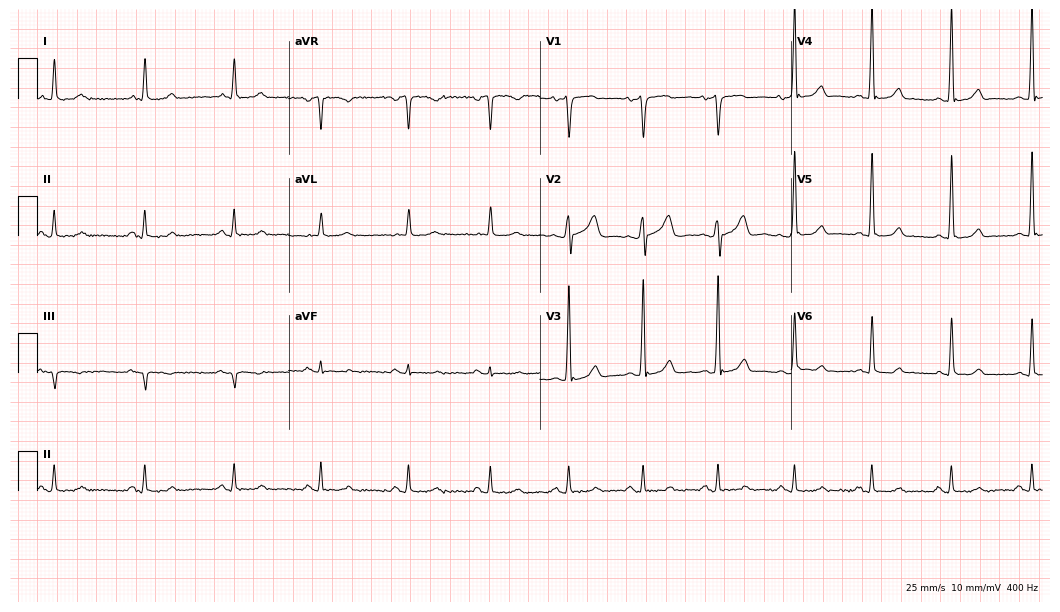
Resting 12-lead electrocardiogram. Patient: a 61-year-old male. None of these six findings is recorded: first-degree AV block, right bundle branch block, left bundle branch block, sinus bradycardia, atrial fibrillation, sinus tachycardia.